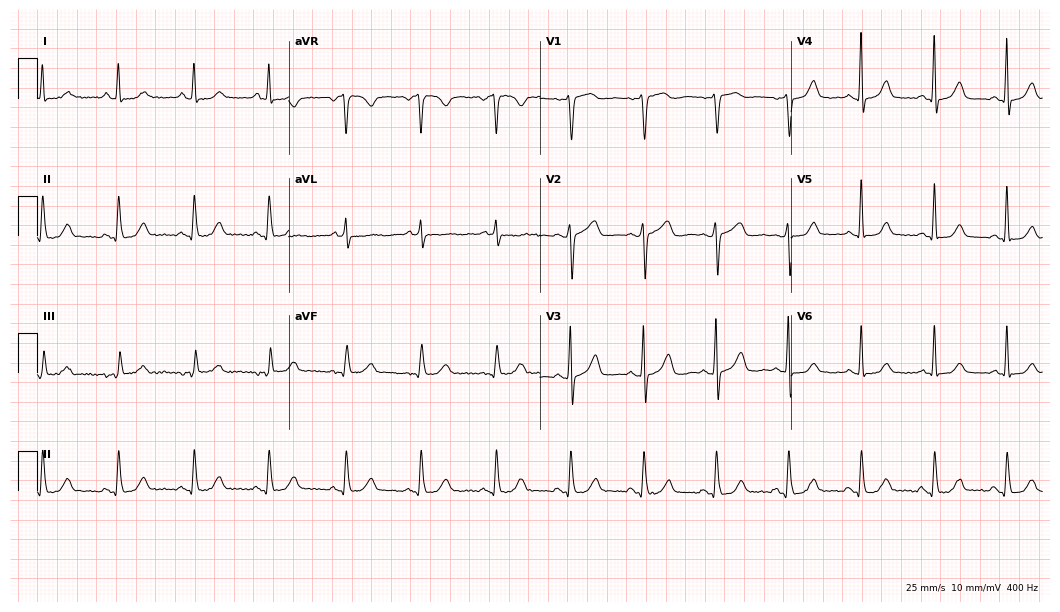
12-lead ECG from a 57-year-old female patient. No first-degree AV block, right bundle branch block (RBBB), left bundle branch block (LBBB), sinus bradycardia, atrial fibrillation (AF) or sinus tachycardia recorded for this tracing. Only these six findings were labelled.